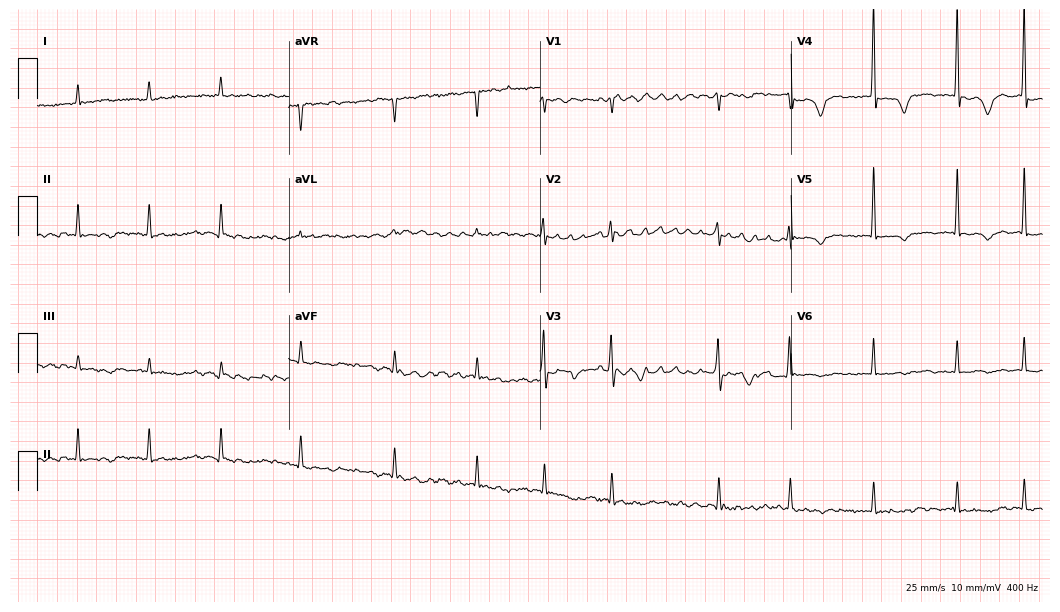
ECG (10.2-second recording at 400 Hz) — an 88-year-old male patient. Findings include atrial fibrillation.